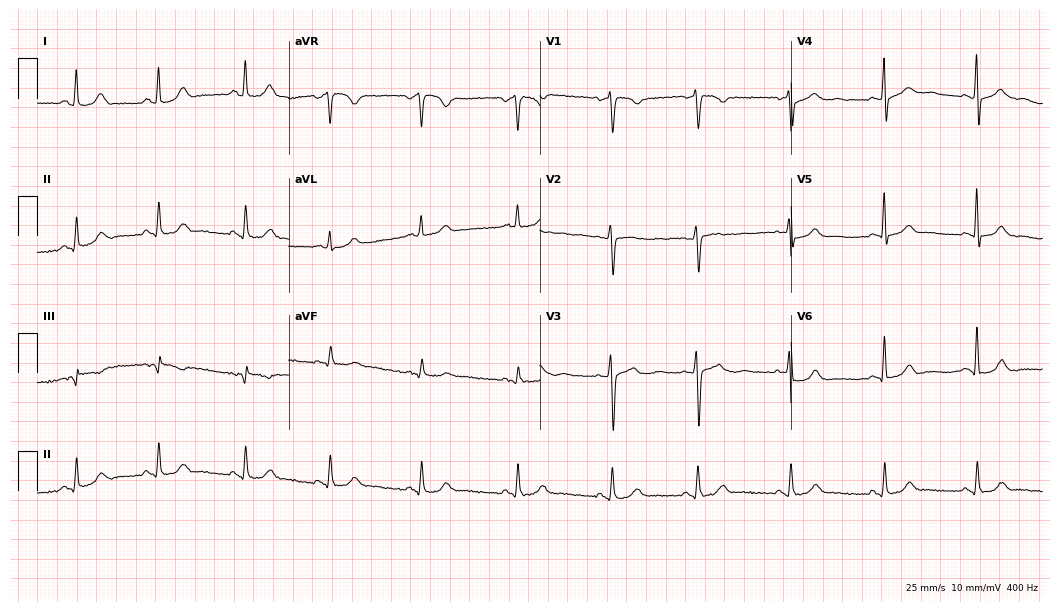
Electrocardiogram (10.2-second recording at 400 Hz), a 40-year-old woman. Overall reading on record: normal ECG.